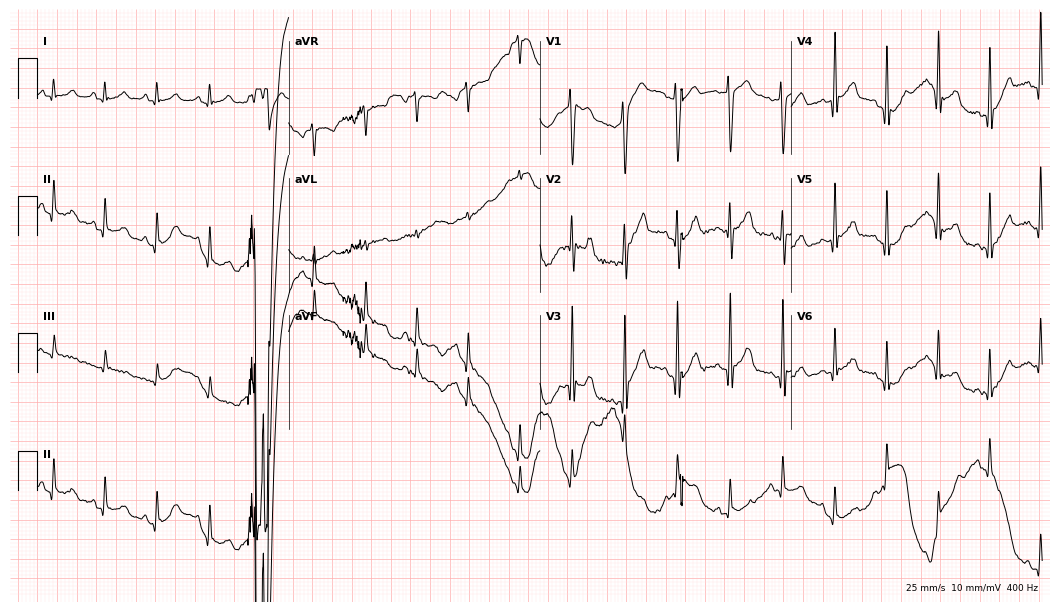
Electrocardiogram (10.2-second recording at 400 Hz), a man, 20 years old. Of the six screened findings (first-degree AV block, right bundle branch block, left bundle branch block, sinus bradycardia, atrial fibrillation, sinus tachycardia), none is recorded.